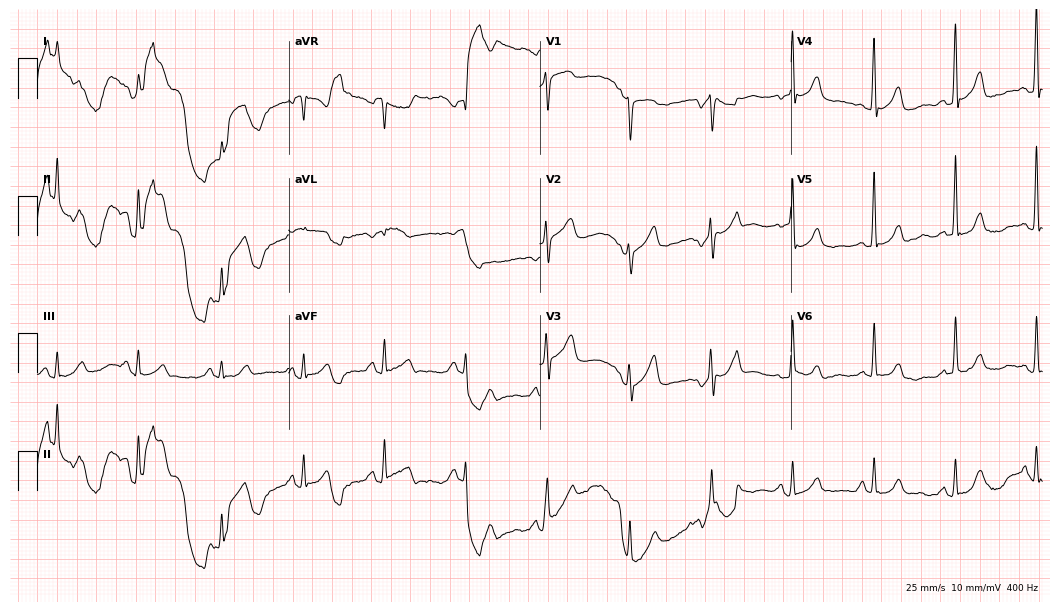
12-lead ECG from a male, 74 years old (10.2-second recording at 400 Hz). No first-degree AV block, right bundle branch block, left bundle branch block, sinus bradycardia, atrial fibrillation or sinus tachycardia recorded for this tracing.